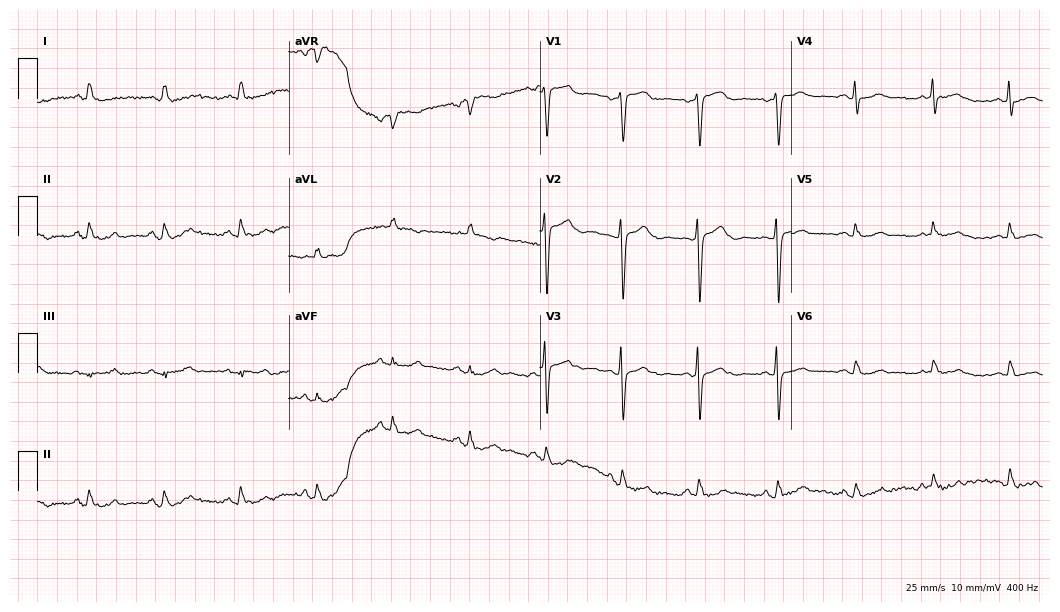
Resting 12-lead electrocardiogram (10.2-second recording at 400 Hz). Patient: a 63-year-old woman. Read as a normal ECG.